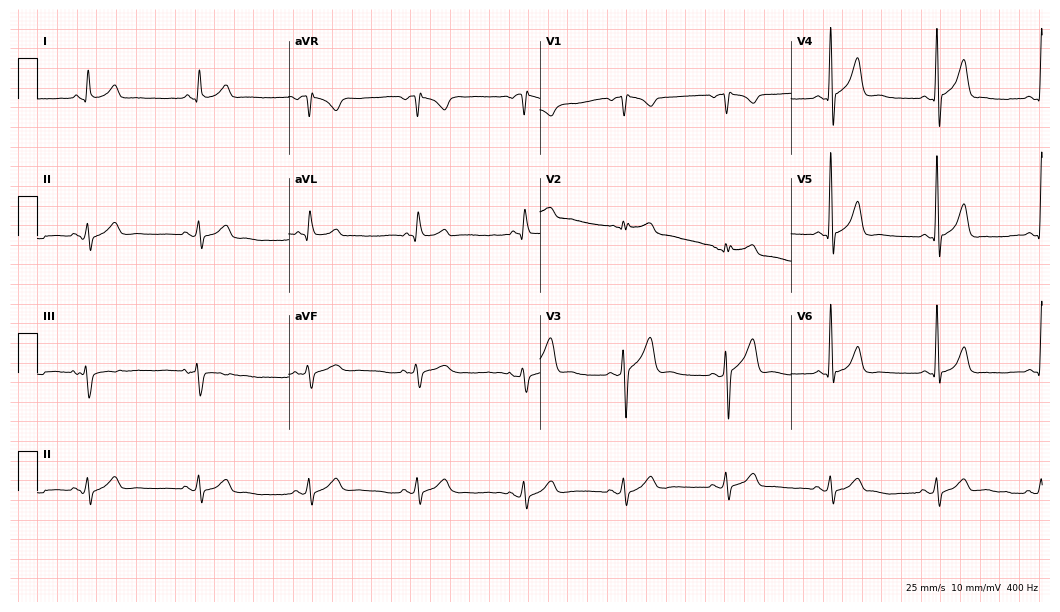
Standard 12-lead ECG recorded from a male, 42 years old (10.2-second recording at 400 Hz). Read as a normal ECG.